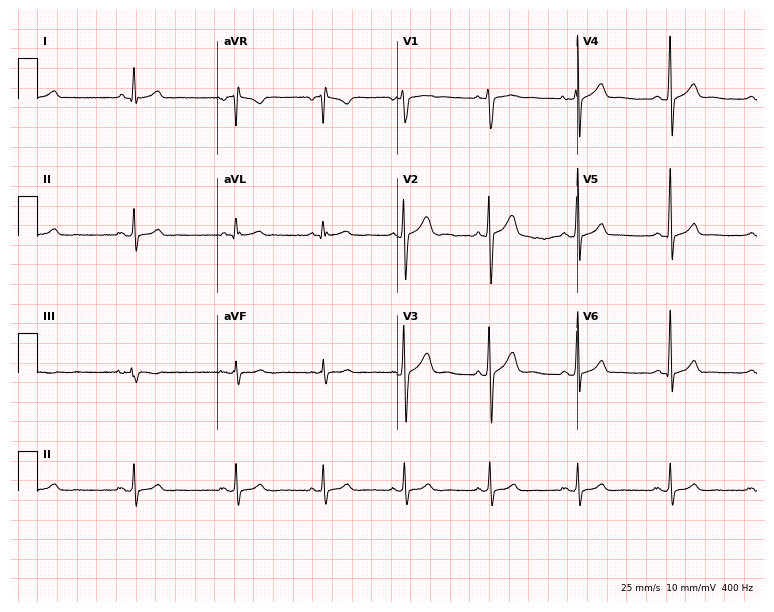
Electrocardiogram, a man, 29 years old. Overall reading on record: normal ECG.